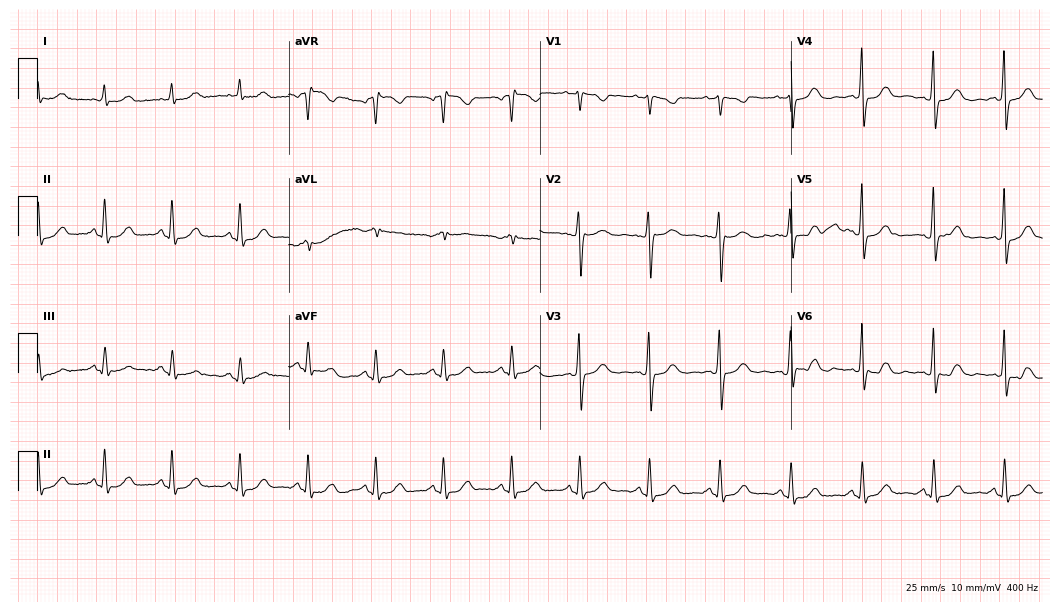
12-lead ECG from a female patient, 60 years old. Recorded interpretation: within normal limits.